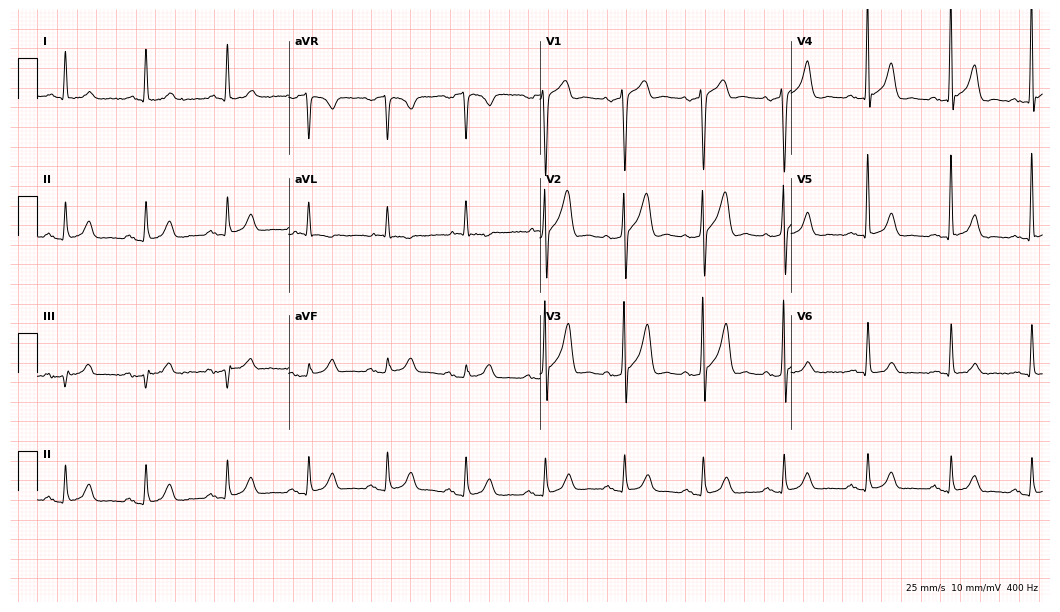
Electrocardiogram, a man, 67 years old. Overall reading on record: normal ECG.